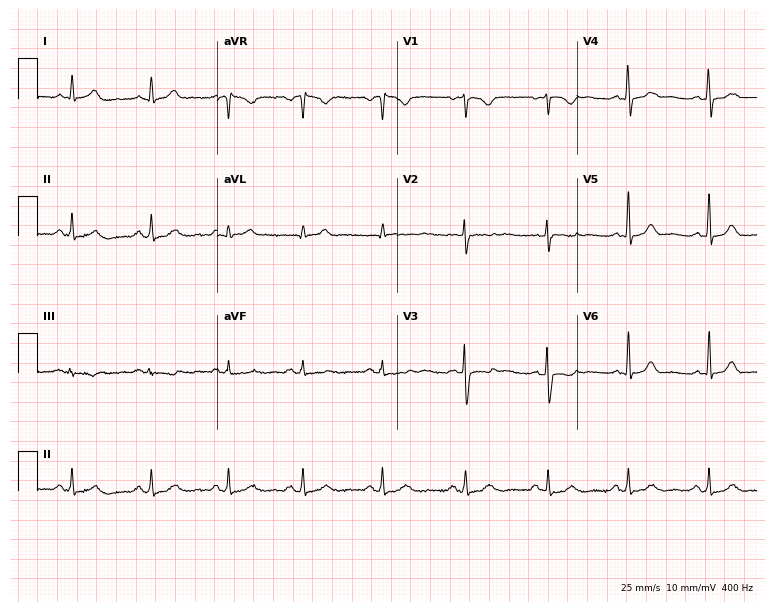
Standard 12-lead ECG recorded from a 27-year-old woman (7.3-second recording at 400 Hz). Read as a normal ECG.